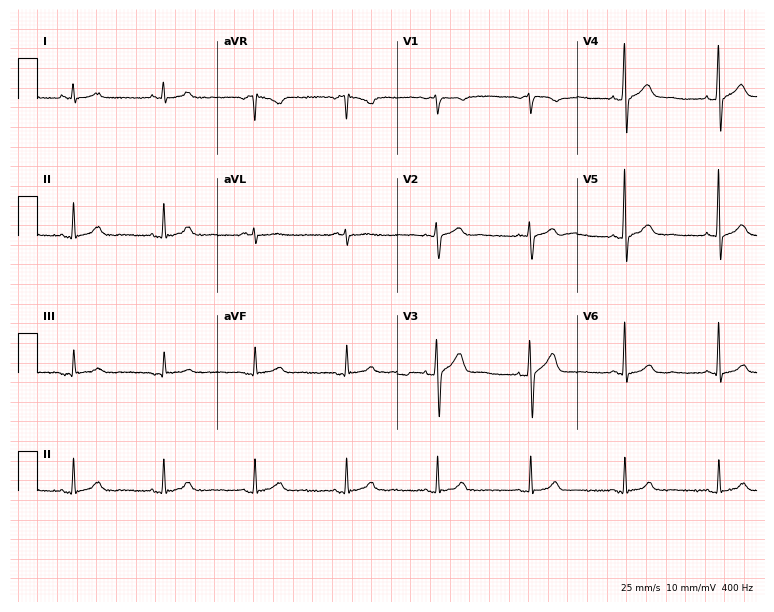
ECG — a 53-year-old male. Labelled as a normal ECG.